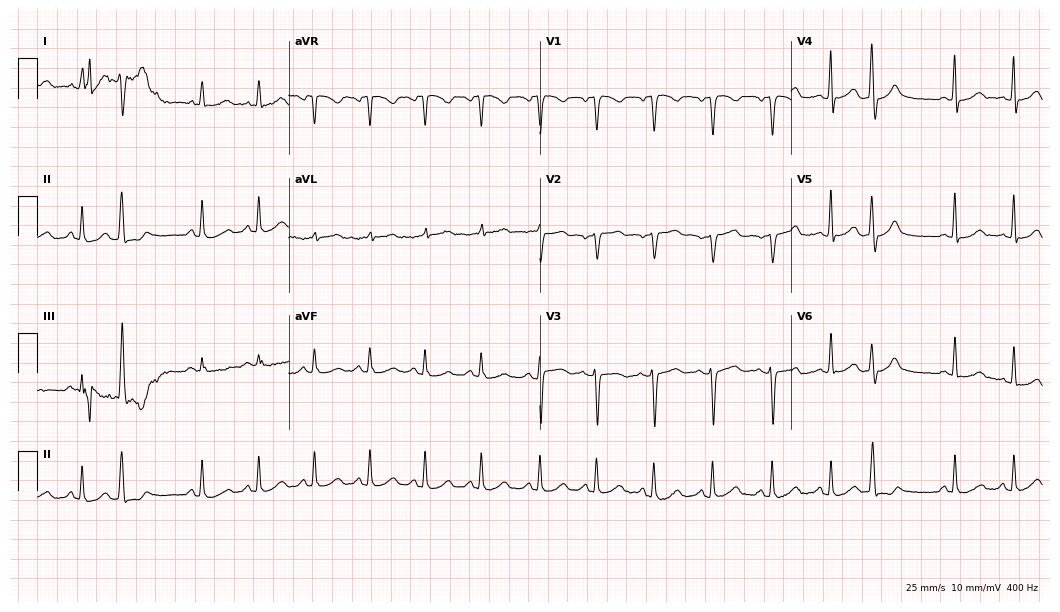
12-lead ECG from a female patient, 46 years old. Shows sinus tachycardia (a sinus rate of 100 beats per minute or more).